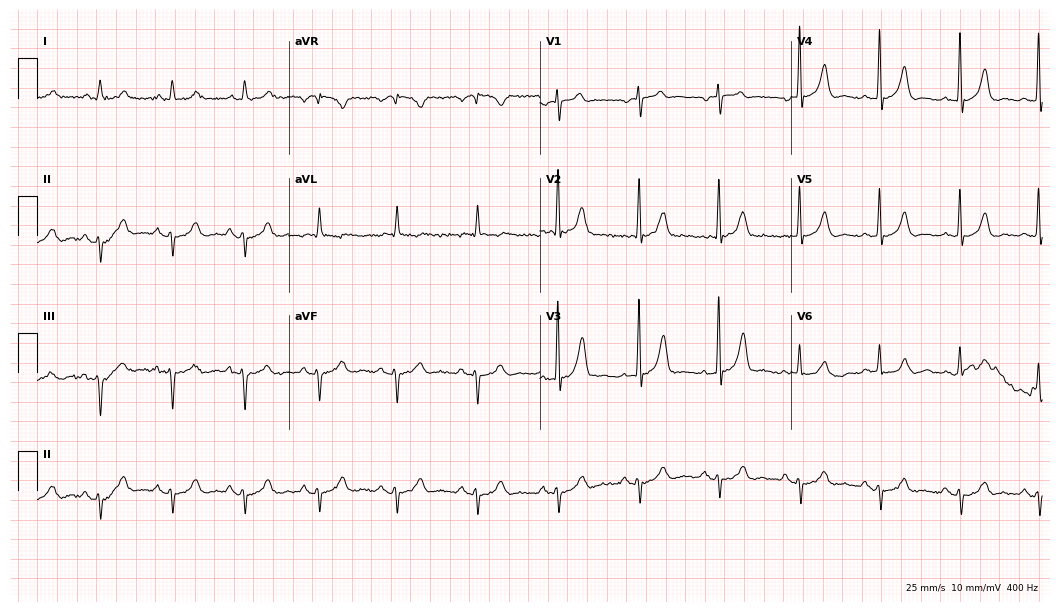
ECG (10.2-second recording at 400 Hz) — an 83-year-old male. Screened for six findings — first-degree AV block, right bundle branch block, left bundle branch block, sinus bradycardia, atrial fibrillation, sinus tachycardia — none is recorded.